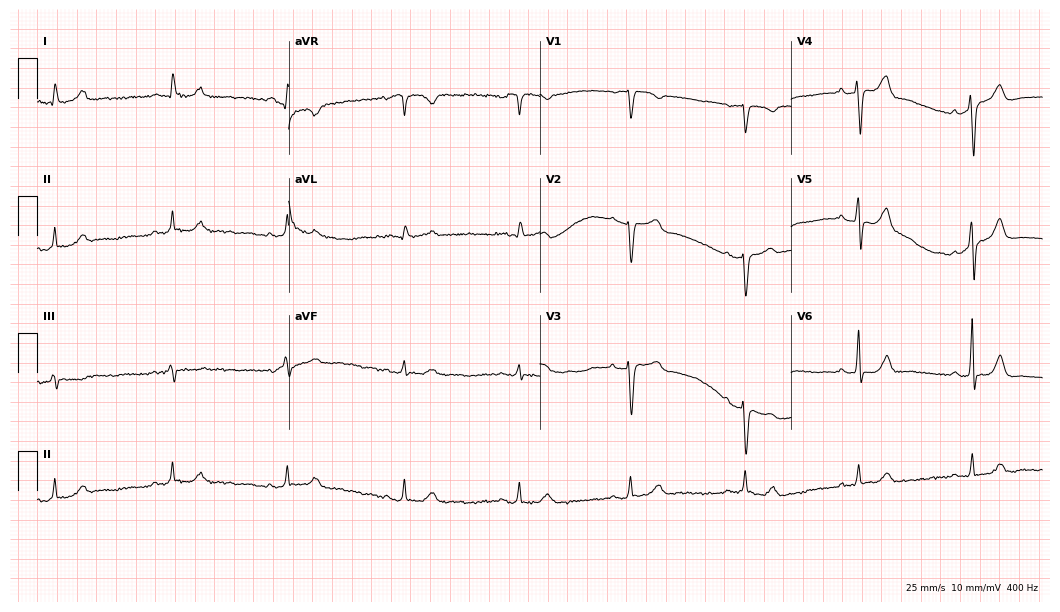
Standard 12-lead ECG recorded from an 82-year-old male. None of these six findings is recorded: first-degree AV block, right bundle branch block (RBBB), left bundle branch block (LBBB), sinus bradycardia, atrial fibrillation (AF), sinus tachycardia. Only these six findings were labelled.